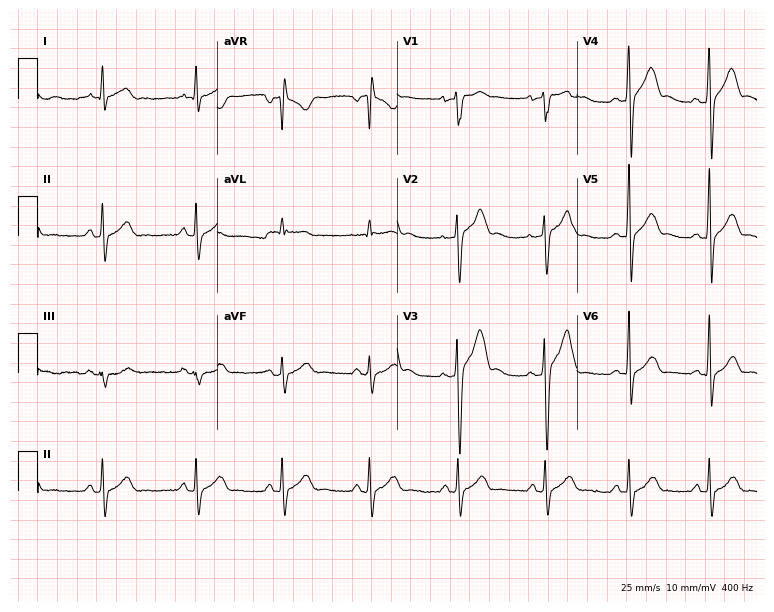
Resting 12-lead electrocardiogram (7.3-second recording at 400 Hz). Patient: a 21-year-old male. Read as a normal ECG.